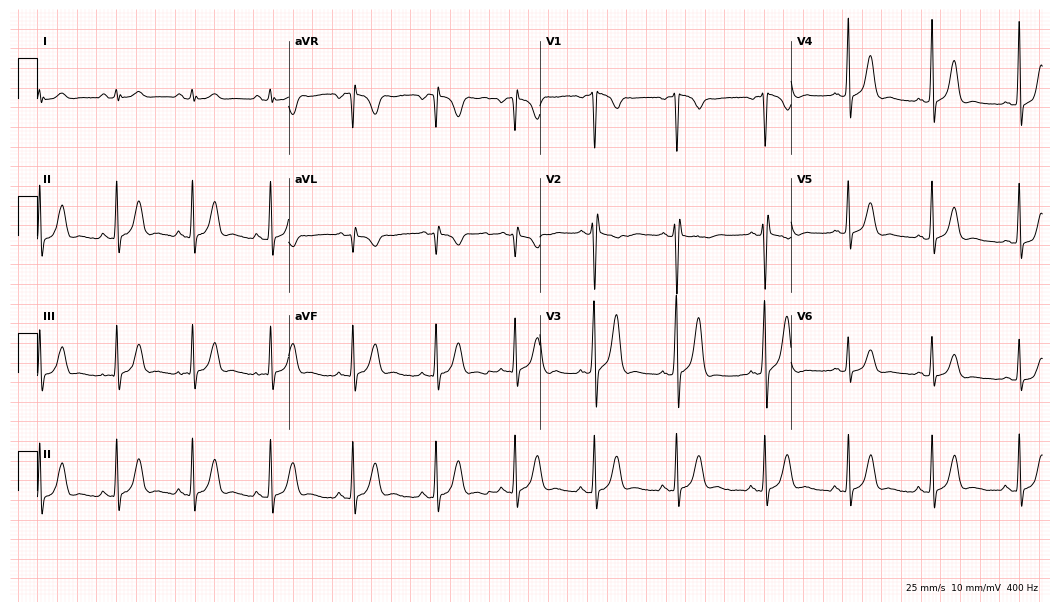
ECG — a male, 25 years old. Screened for six findings — first-degree AV block, right bundle branch block (RBBB), left bundle branch block (LBBB), sinus bradycardia, atrial fibrillation (AF), sinus tachycardia — none is recorded. Only these six findings were labelled.